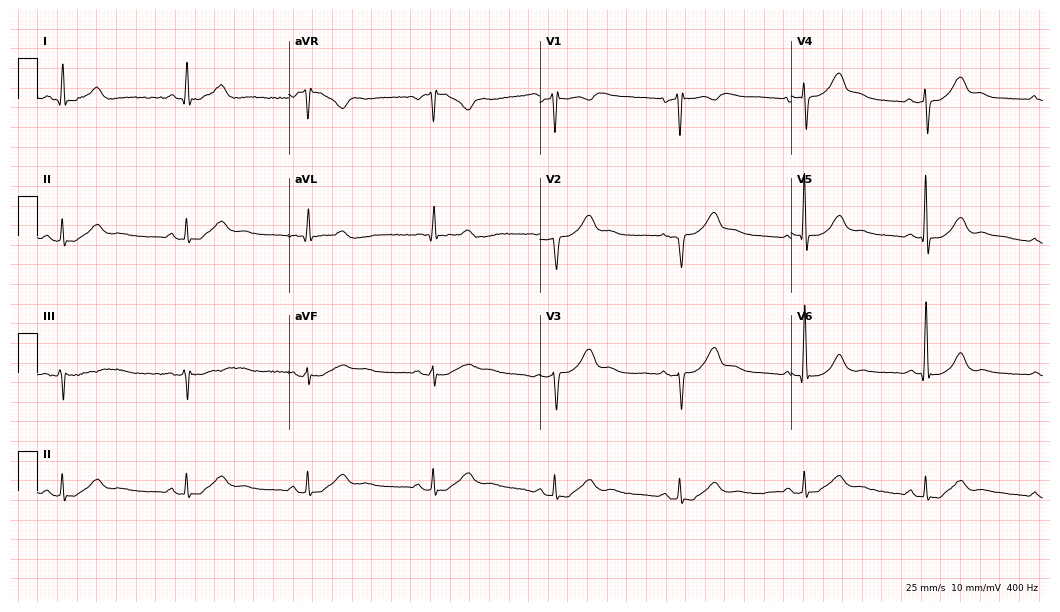
Resting 12-lead electrocardiogram (10.2-second recording at 400 Hz). Patient: a male, 55 years old. Read as a normal ECG.